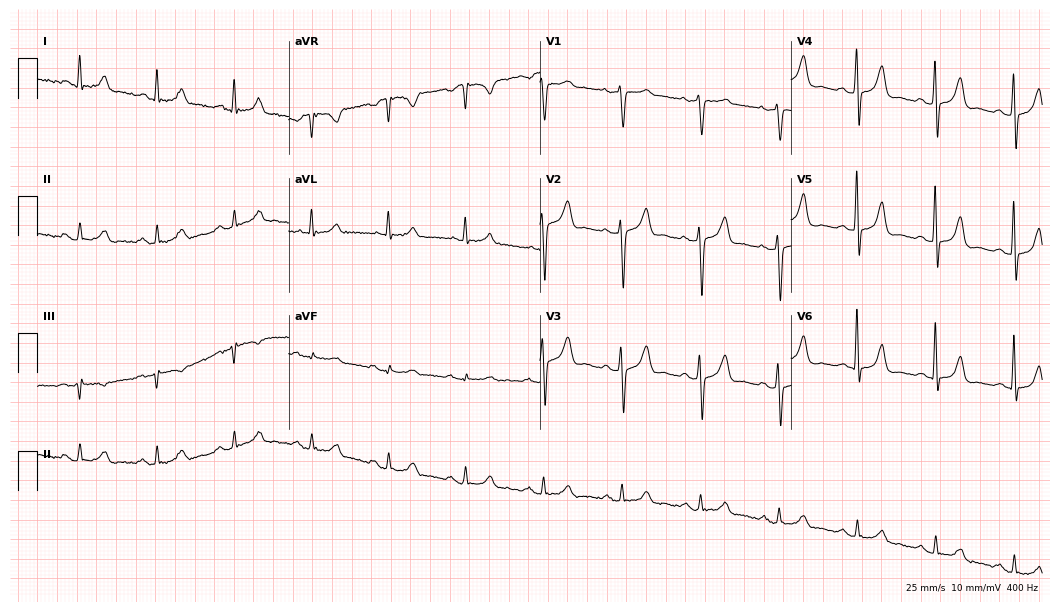
Standard 12-lead ECG recorded from a male patient, 71 years old (10.2-second recording at 400 Hz). Read as a normal ECG.